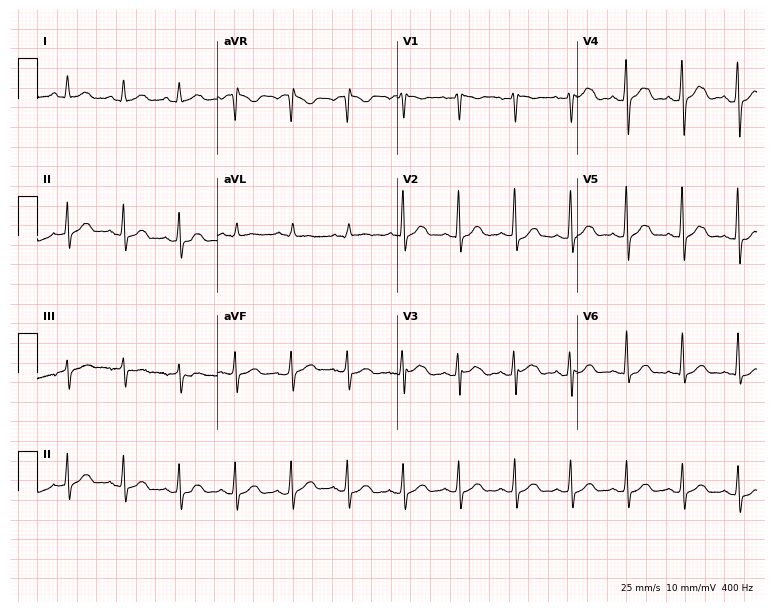
12-lead ECG (7.3-second recording at 400 Hz) from a female patient, 23 years old. Findings include sinus tachycardia (a sinus rate of 100 beats per minute or more).